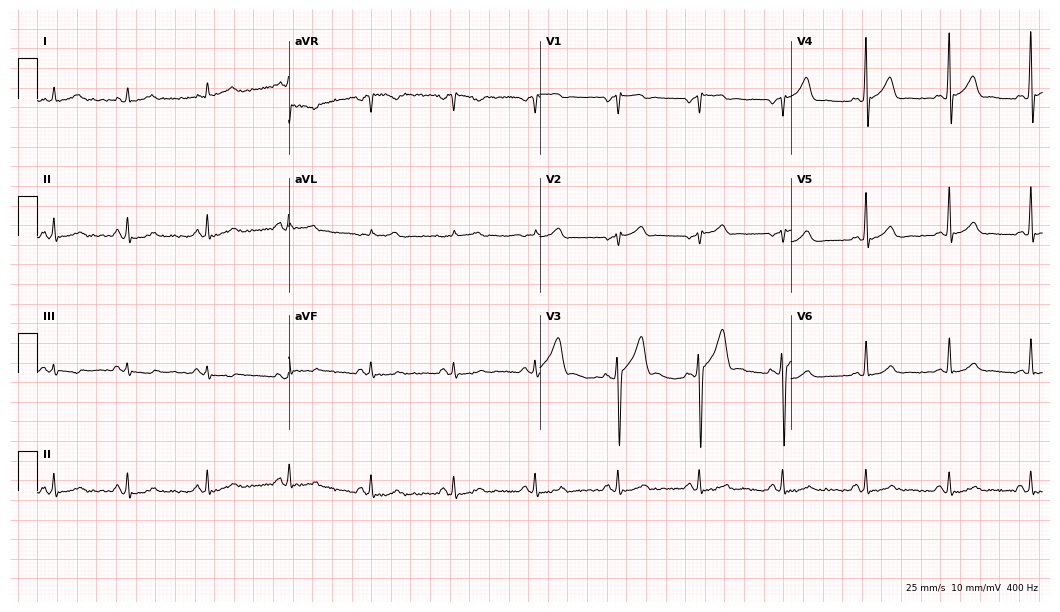
Standard 12-lead ECG recorded from a man, 47 years old (10.2-second recording at 400 Hz). None of these six findings is recorded: first-degree AV block, right bundle branch block, left bundle branch block, sinus bradycardia, atrial fibrillation, sinus tachycardia.